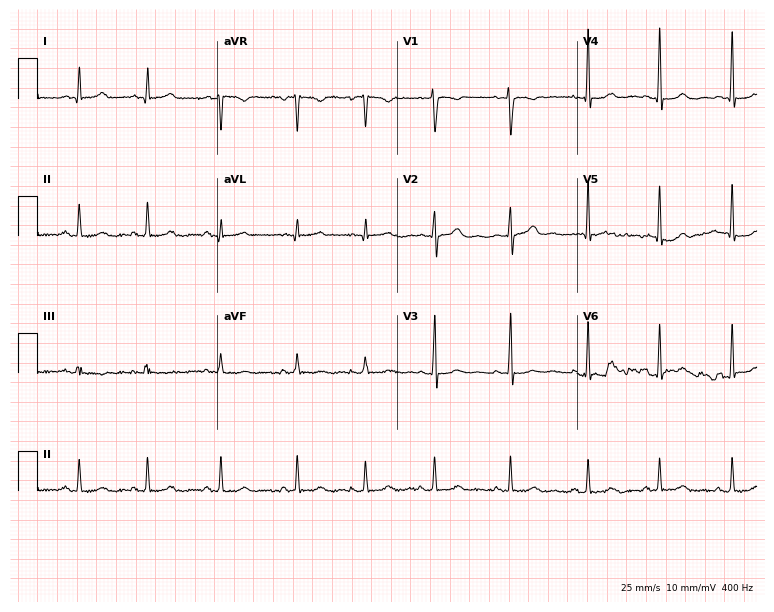
ECG — a 37-year-old woman. Screened for six findings — first-degree AV block, right bundle branch block, left bundle branch block, sinus bradycardia, atrial fibrillation, sinus tachycardia — none is recorded. Findings outside these six are not listed.